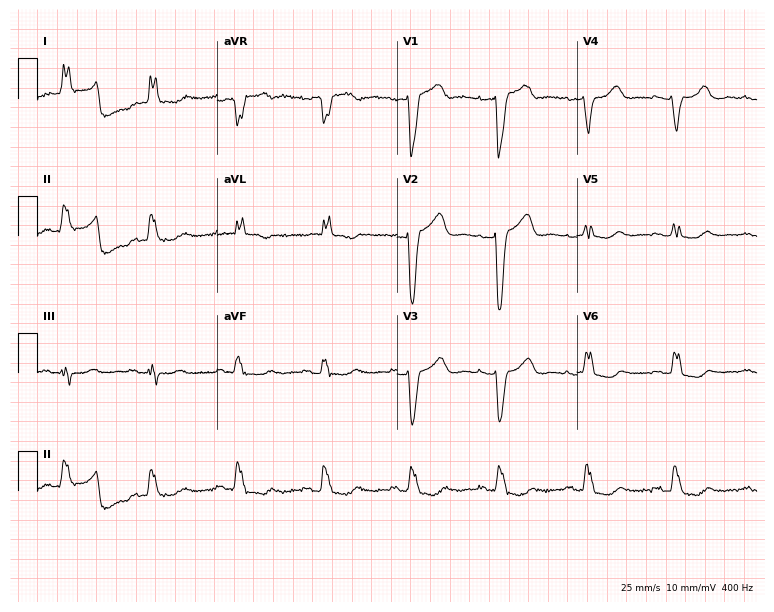
Resting 12-lead electrocardiogram (7.3-second recording at 400 Hz). Patient: a female, 83 years old. The tracing shows left bundle branch block.